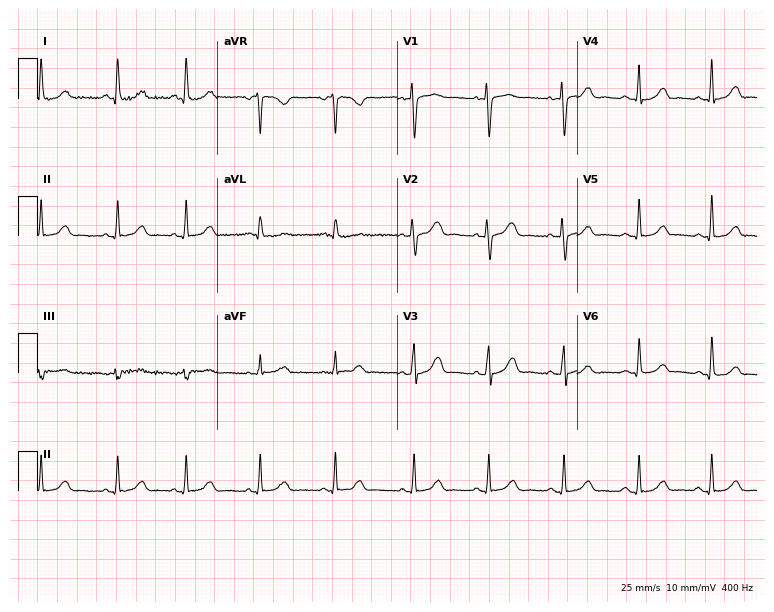
ECG (7.3-second recording at 400 Hz) — a 54-year-old female patient. Labelled as a normal ECG.